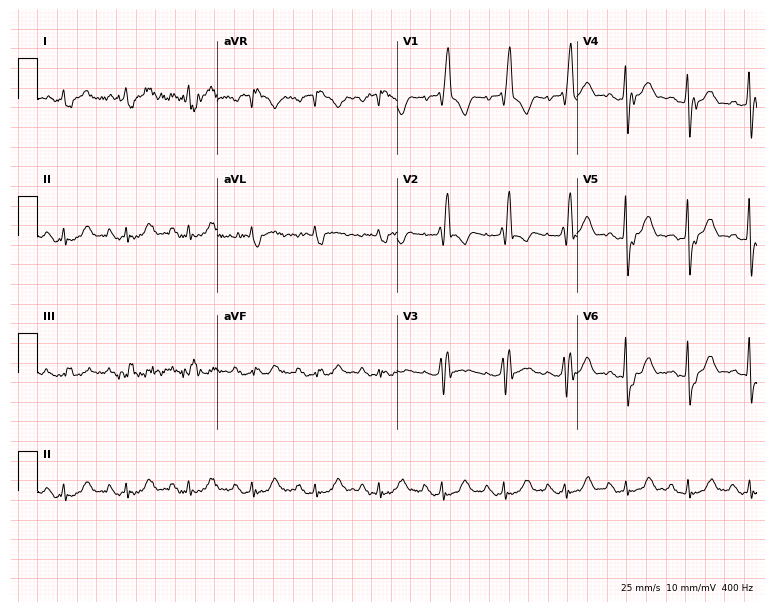
Standard 12-lead ECG recorded from a 77-year-old male (7.3-second recording at 400 Hz). The tracing shows right bundle branch block.